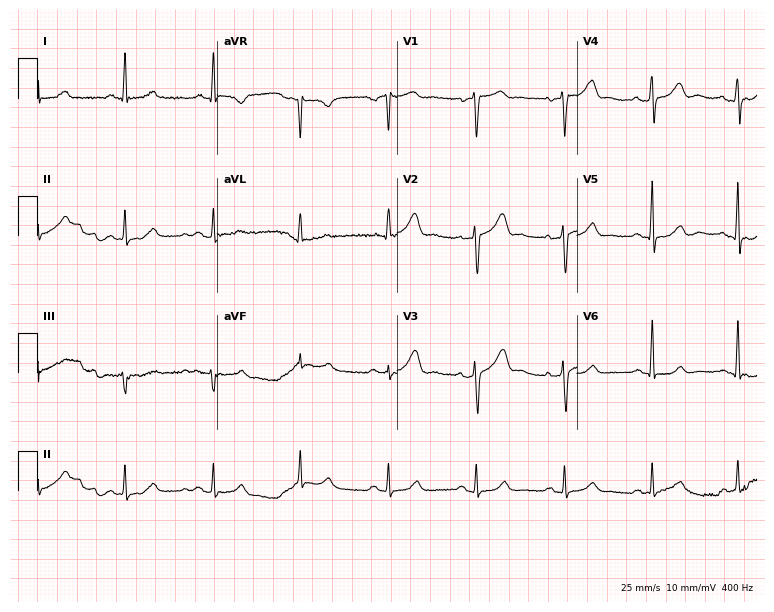
ECG — a 46-year-old woman. Screened for six findings — first-degree AV block, right bundle branch block (RBBB), left bundle branch block (LBBB), sinus bradycardia, atrial fibrillation (AF), sinus tachycardia — none is recorded.